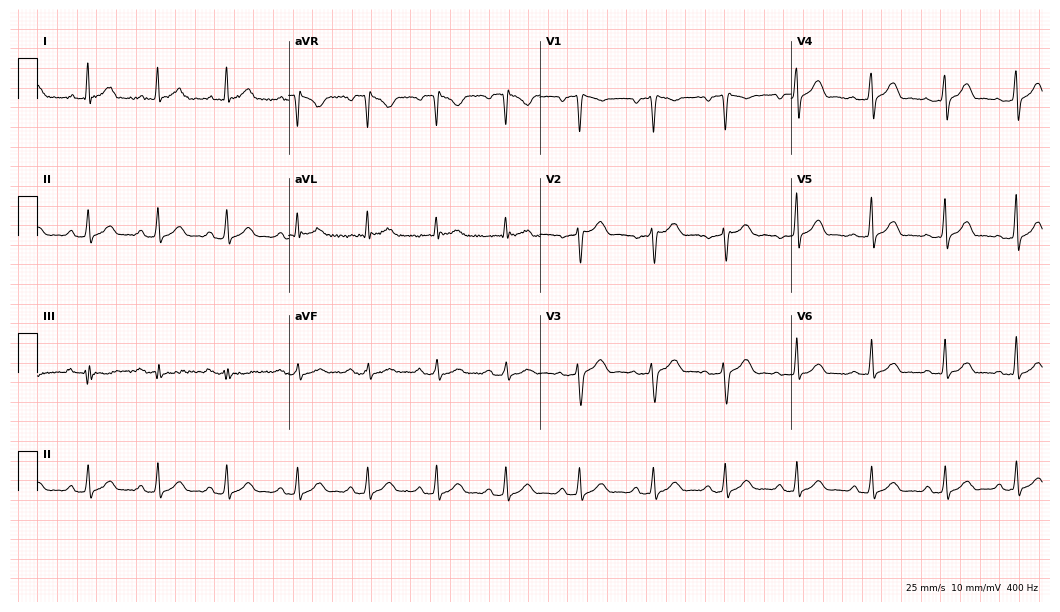
Electrocardiogram, a male, 42 years old. Overall reading on record: normal ECG.